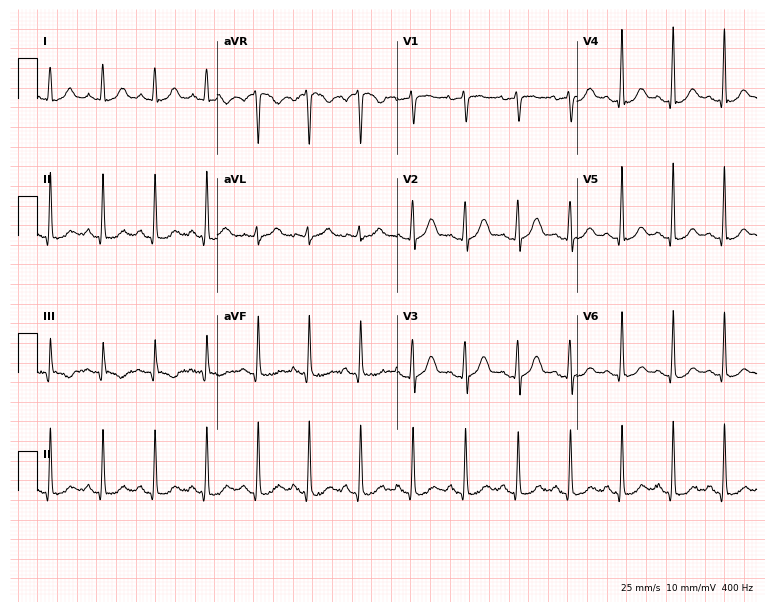
12-lead ECG from a female patient, 22 years old. Findings include sinus tachycardia (a sinus rate of 100 beats per minute or more).